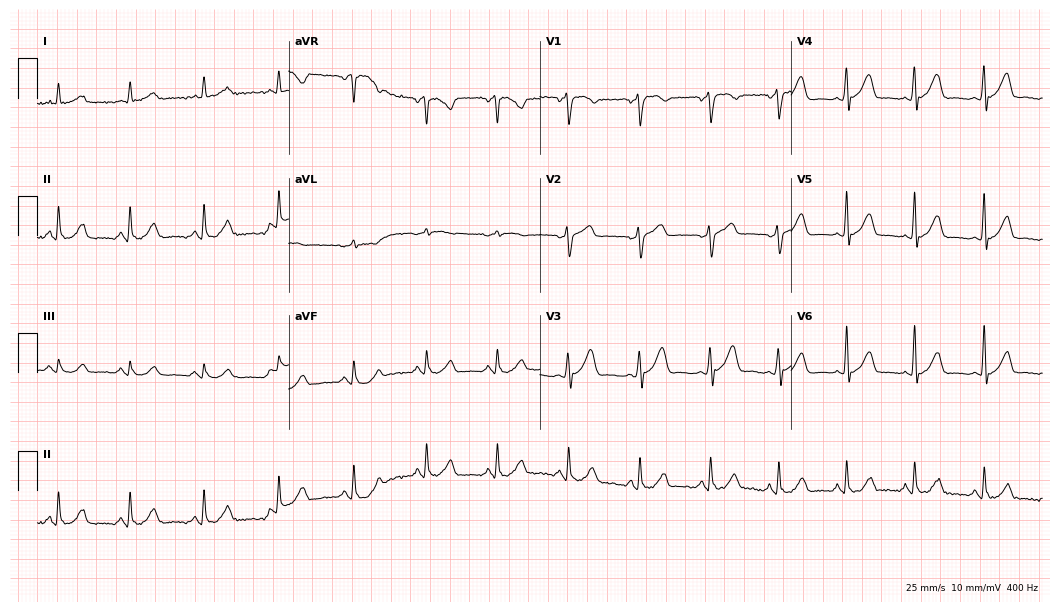
Electrocardiogram, a male patient, 57 years old. Overall reading on record: normal ECG.